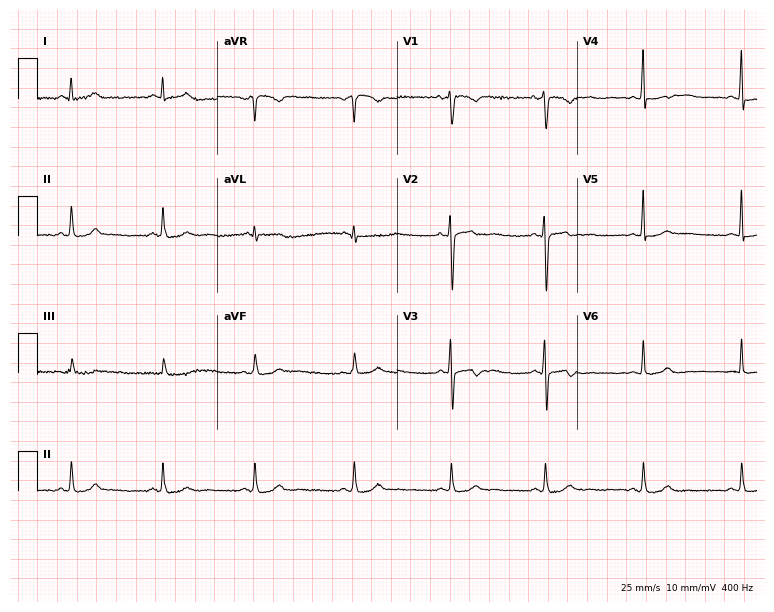
12-lead ECG (7.3-second recording at 400 Hz) from a female patient, 26 years old. Screened for six findings — first-degree AV block, right bundle branch block, left bundle branch block, sinus bradycardia, atrial fibrillation, sinus tachycardia — none is recorded. Only these six findings were labelled.